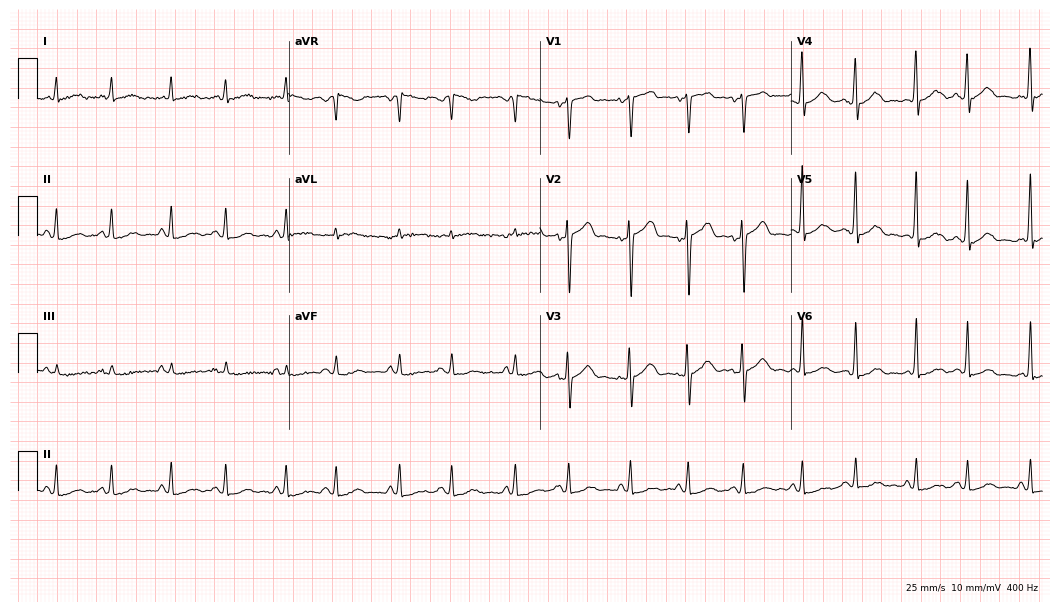
ECG — an 85-year-old male patient. Screened for six findings — first-degree AV block, right bundle branch block, left bundle branch block, sinus bradycardia, atrial fibrillation, sinus tachycardia — none is recorded. Other findings, if any, are not listed.